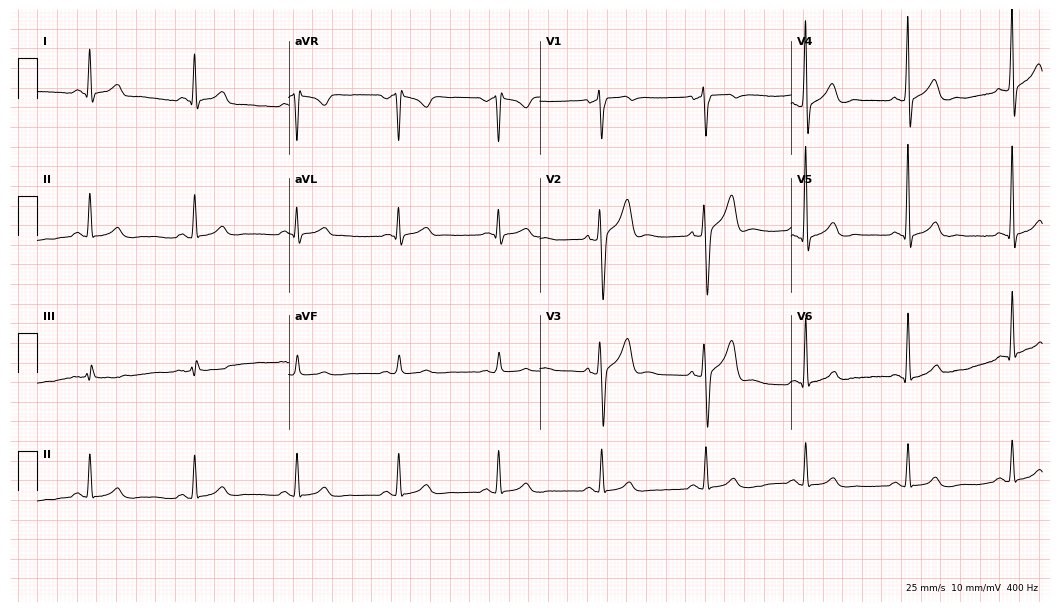
12-lead ECG (10.2-second recording at 400 Hz) from a 33-year-old male. Labelled as a normal ECG.